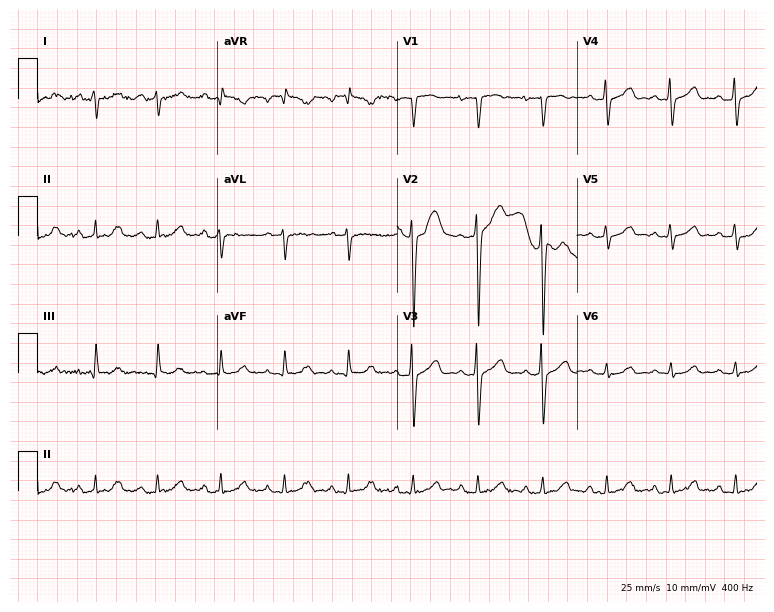
Electrocardiogram, a male, 41 years old. Of the six screened findings (first-degree AV block, right bundle branch block, left bundle branch block, sinus bradycardia, atrial fibrillation, sinus tachycardia), none is recorded.